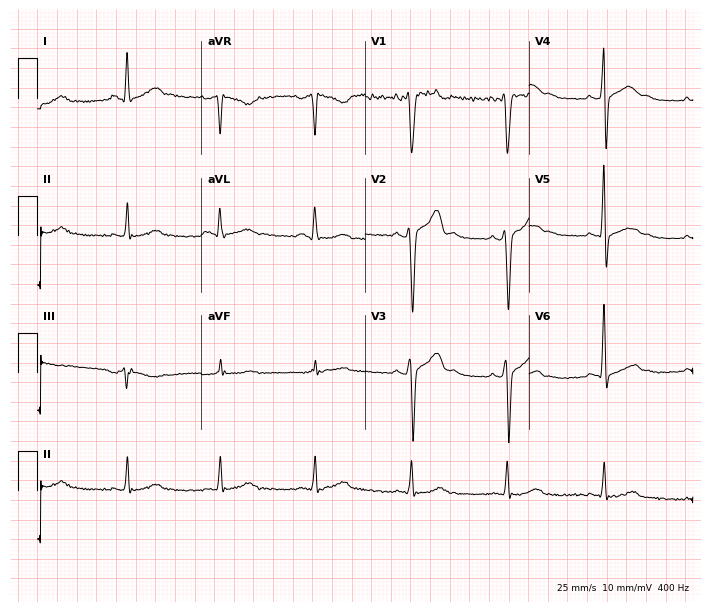
12-lead ECG (6.7-second recording at 400 Hz) from a male patient, 40 years old. Screened for six findings — first-degree AV block, right bundle branch block, left bundle branch block, sinus bradycardia, atrial fibrillation, sinus tachycardia — none is recorded. Other findings, if any, are not listed.